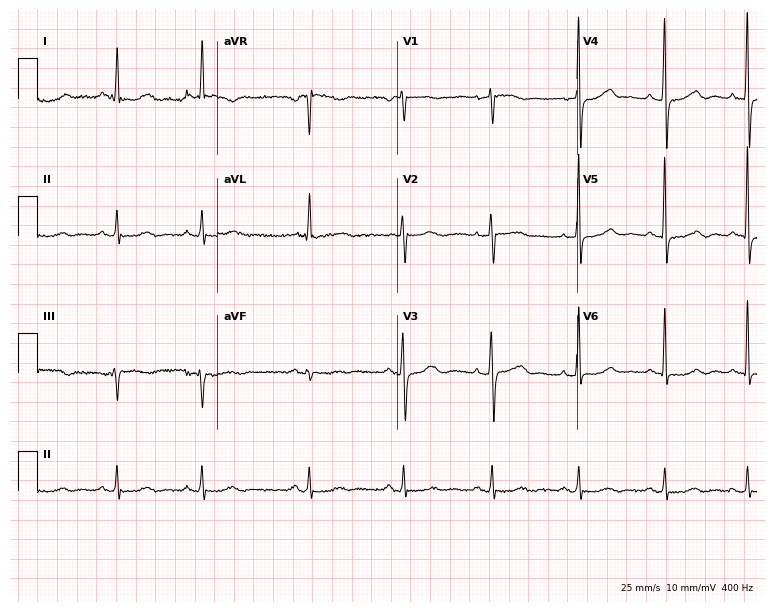
Resting 12-lead electrocardiogram (7.3-second recording at 400 Hz). Patient: a female, 76 years old. None of these six findings is recorded: first-degree AV block, right bundle branch block (RBBB), left bundle branch block (LBBB), sinus bradycardia, atrial fibrillation (AF), sinus tachycardia. Other findings, if any, are not listed.